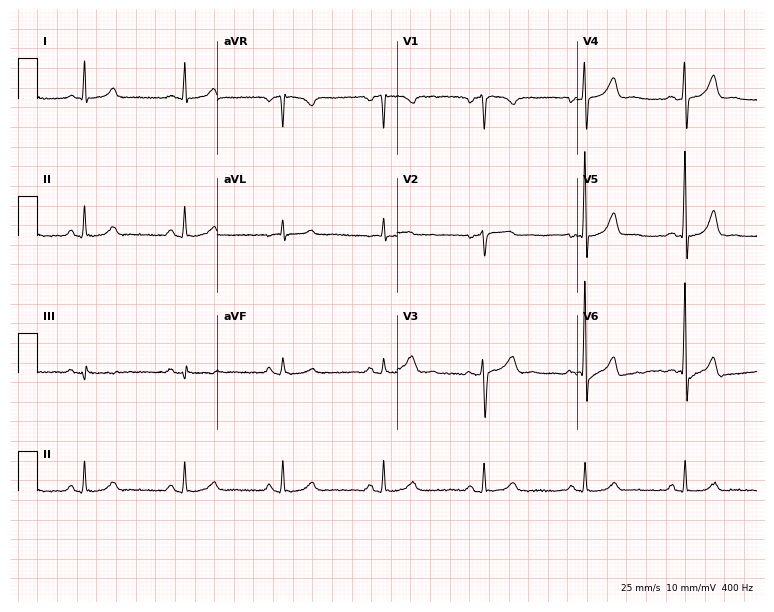
Electrocardiogram (7.3-second recording at 400 Hz), a 54-year-old man. Overall reading on record: normal ECG.